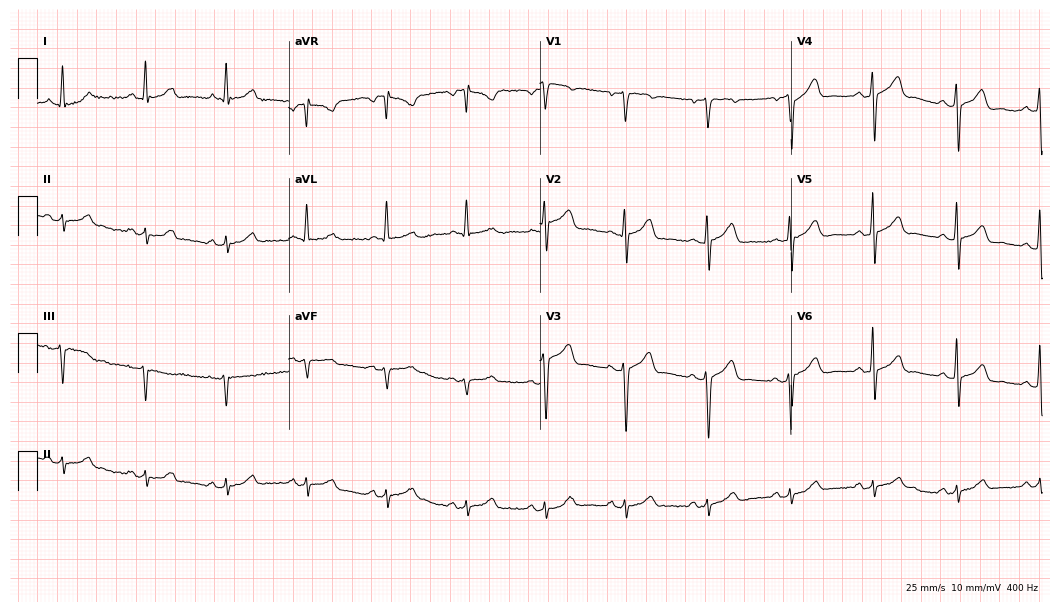
Standard 12-lead ECG recorded from a man, 63 years old (10.2-second recording at 400 Hz). None of these six findings is recorded: first-degree AV block, right bundle branch block, left bundle branch block, sinus bradycardia, atrial fibrillation, sinus tachycardia.